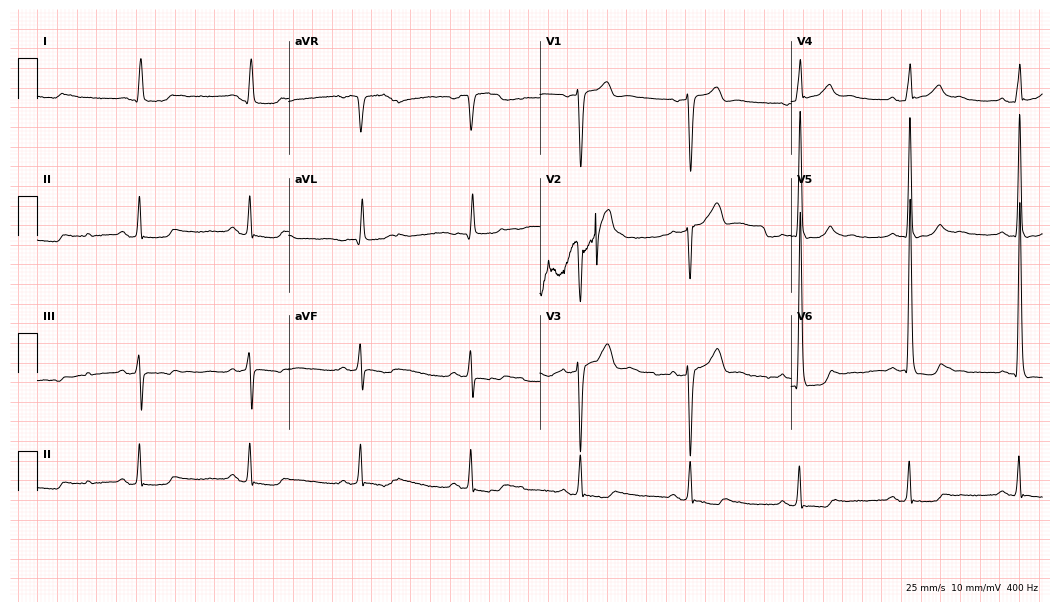
Standard 12-lead ECG recorded from a male patient, 80 years old. None of these six findings is recorded: first-degree AV block, right bundle branch block (RBBB), left bundle branch block (LBBB), sinus bradycardia, atrial fibrillation (AF), sinus tachycardia.